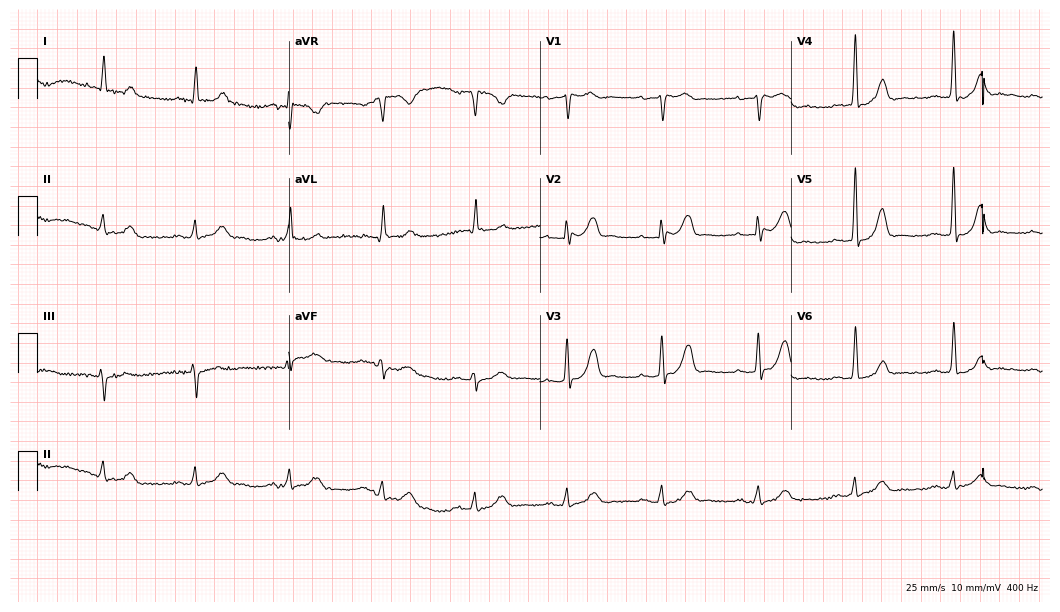
Resting 12-lead electrocardiogram. Patient: a female, 65 years old. None of these six findings is recorded: first-degree AV block, right bundle branch block, left bundle branch block, sinus bradycardia, atrial fibrillation, sinus tachycardia.